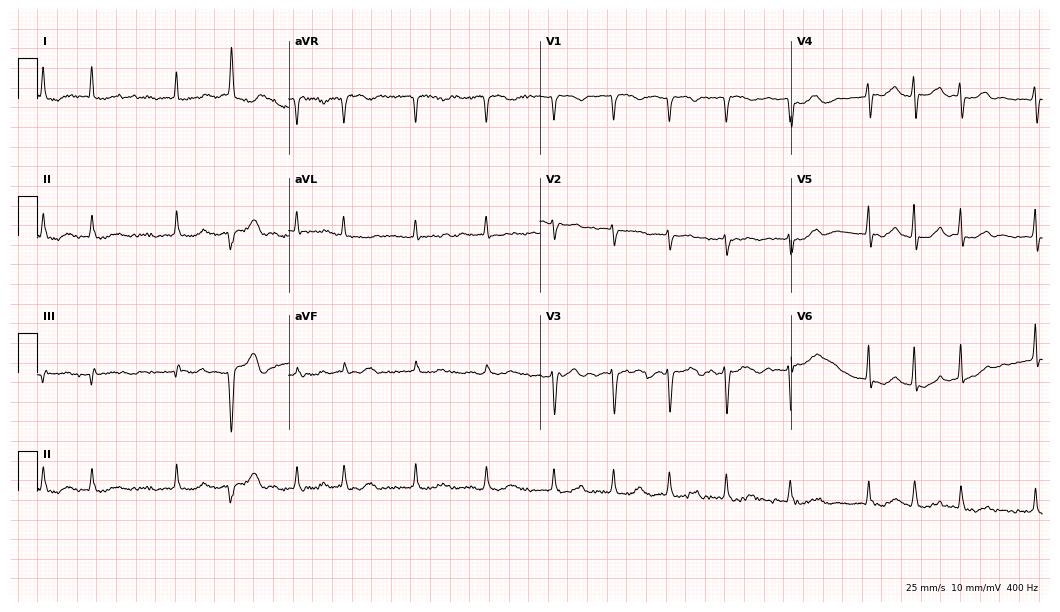
Resting 12-lead electrocardiogram. Patient: an 85-year-old female. None of these six findings is recorded: first-degree AV block, right bundle branch block, left bundle branch block, sinus bradycardia, atrial fibrillation, sinus tachycardia. Only these six findings were labelled.